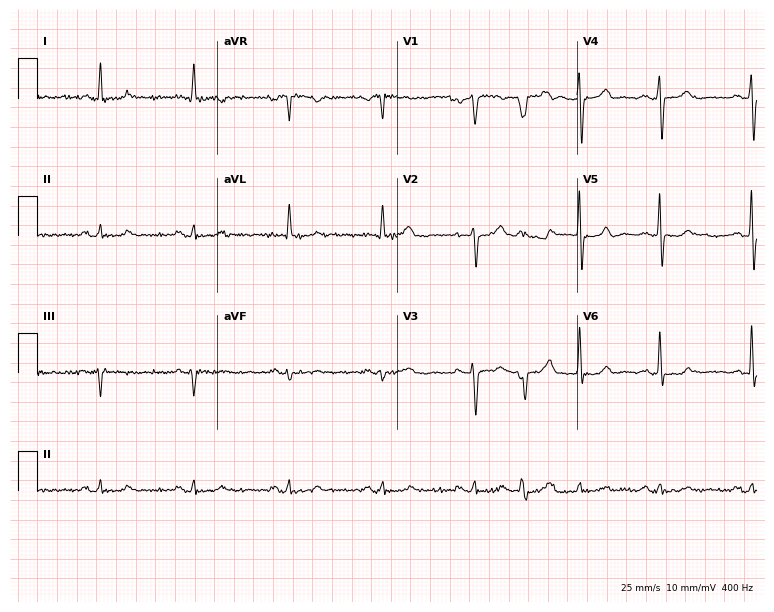
12-lead ECG from a male patient, 79 years old (7.3-second recording at 400 Hz). No first-degree AV block, right bundle branch block, left bundle branch block, sinus bradycardia, atrial fibrillation or sinus tachycardia recorded for this tracing.